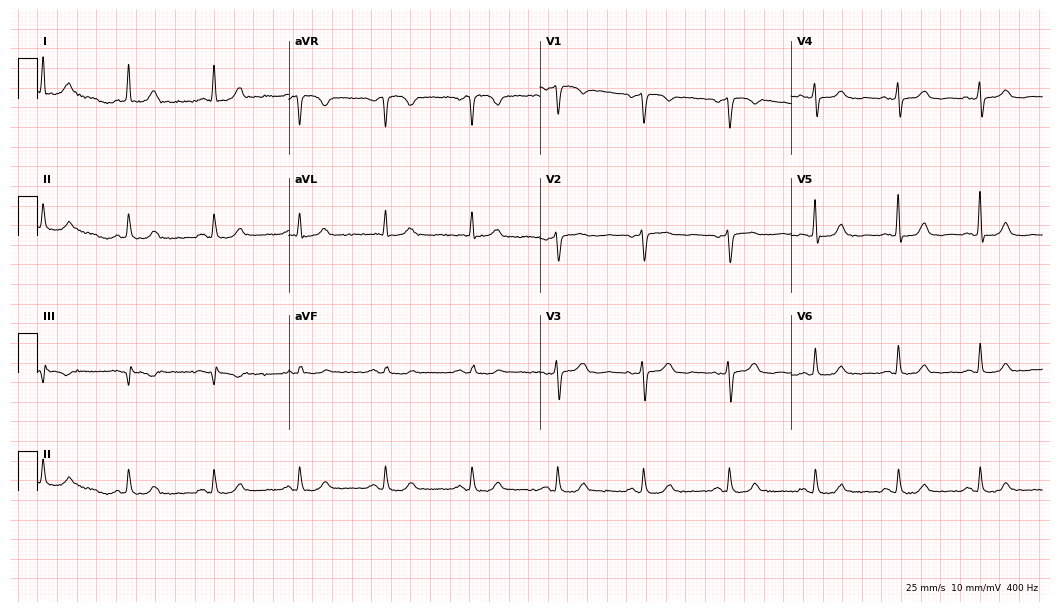
Resting 12-lead electrocardiogram. Patient: a woman, 76 years old. None of these six findings is recorded: first-degree AV block, right bundle branch block, left bundle branch block, sinus bradycardia, atrial fibrillation, sinus tachycardia.